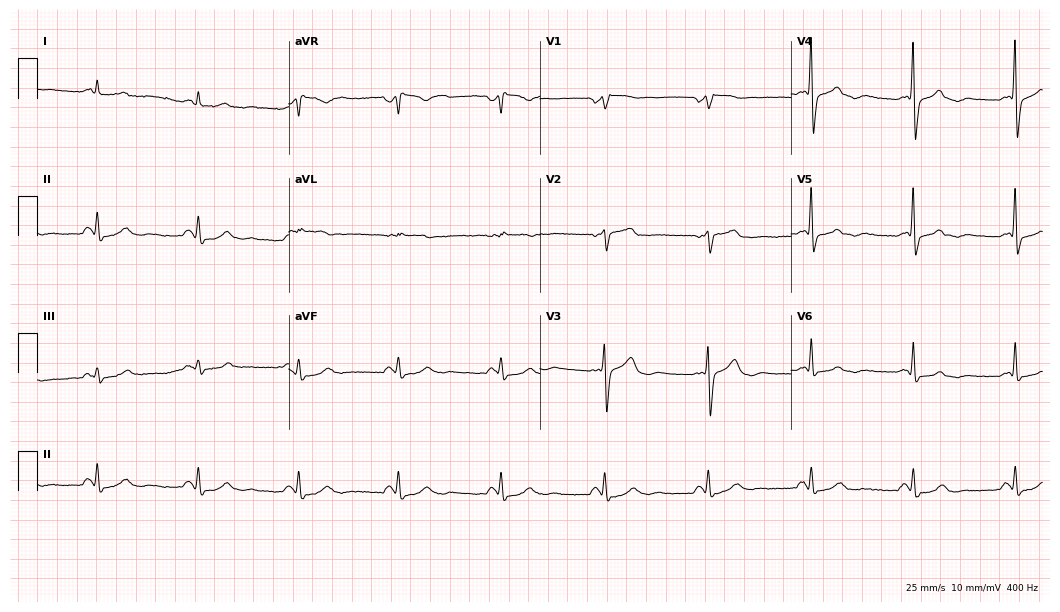
Resting 12-lead electrocardiogram (10.2-second recording at 400 Hz). Patient: an 82-year-old male. None of these six findings is recorded: first-degree AV block, right bundle branch block, left bundle branch block, sinus bradycardia, atrial fibrillation, sinus tachycardia. Only these six findings were labelled.